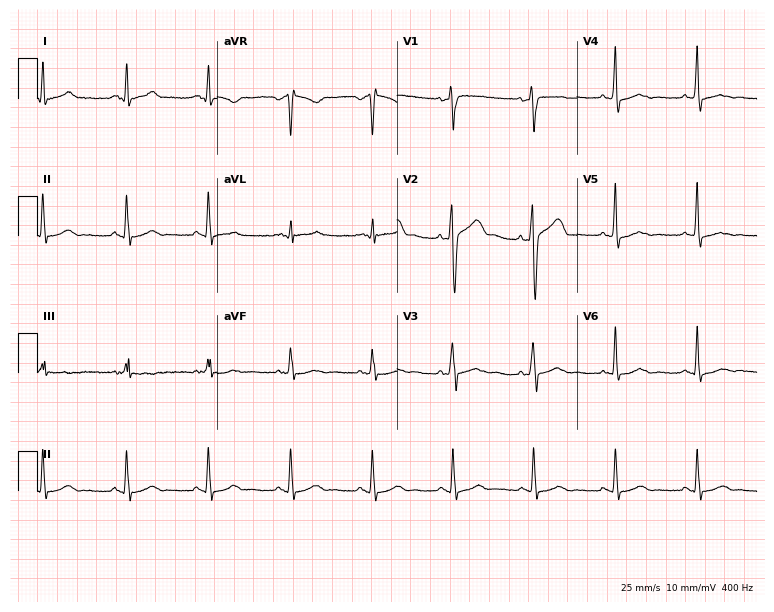
12-lead ECG from a male patient, 41 years old (7.3-second recording at 400 Hz). Recorded interpretation: within normal limits.